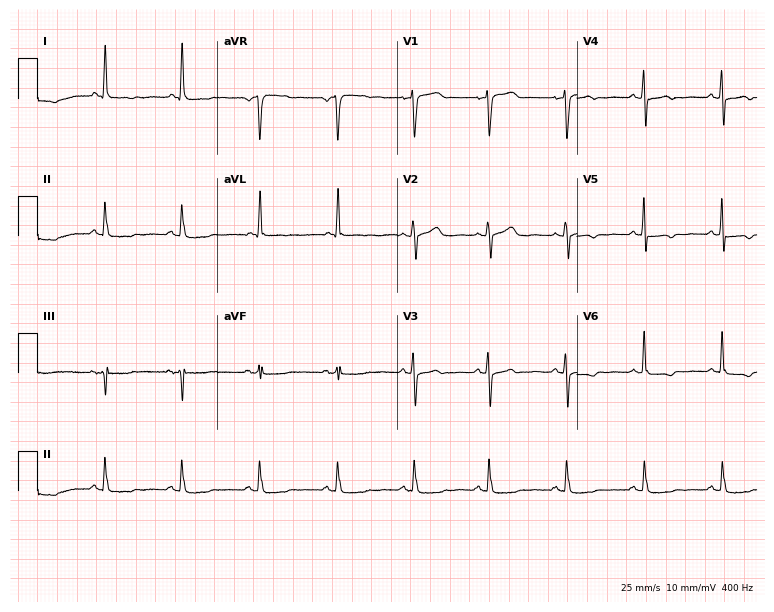
12-lead ECG (7.3-second recording at 400 Hz) from a 61-year-old woman. Screened for six findings — first-degree AV block, right bundle branch block, left bundle branch block, sinus bradycardia, atrial fibrillation, sinus tachycardia — none is recorded. Findings outside these six are not listed.